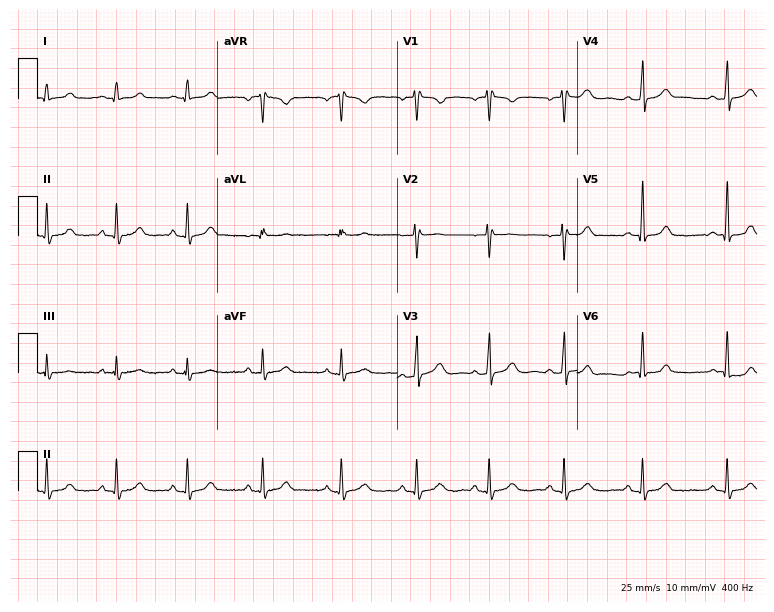
Electrocardiogram, a woman, 29 years old. Of the six screened findings (first-degree AV block, right bundle branch block, left bundle branch block, sinus bradycardia, atrial fibrillation, sinus tachycardia), none is recorded. Findings outside these six are not listed.